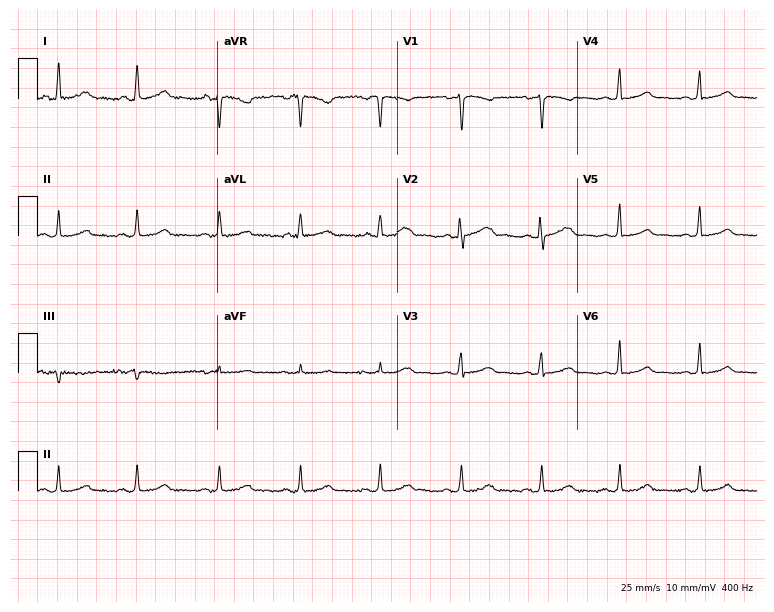
ECG — a 40-year-old woman. Labelled as a normal ECG.